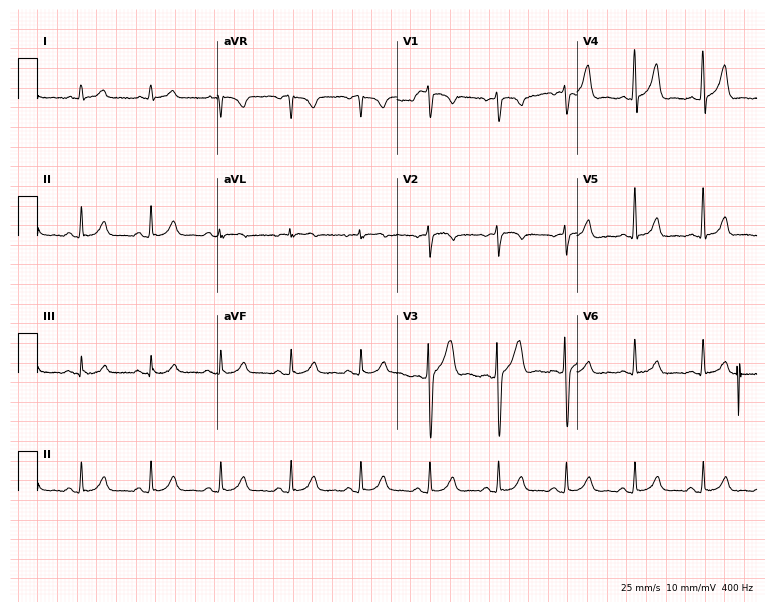
ECG — a 44-year-old male patient. Labelled as a normal ECG.